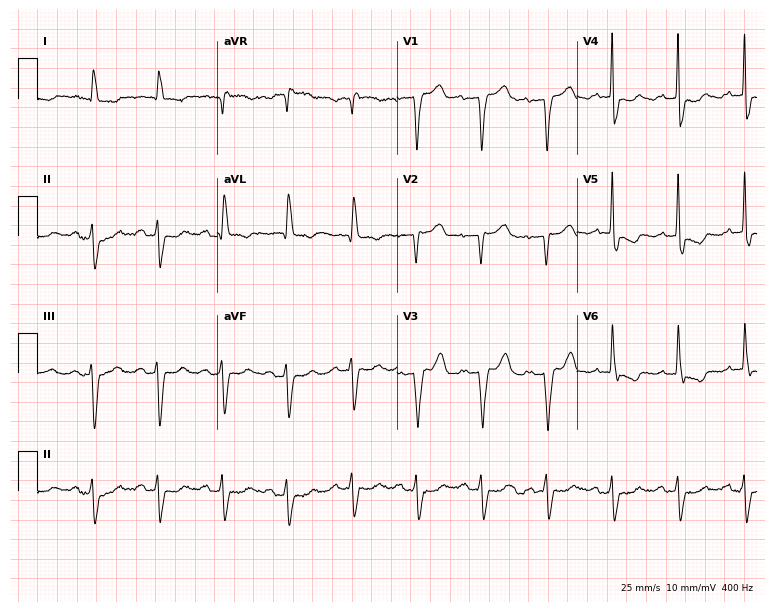
ECG — a 69-year-old man. Screened for six findings — first-degree AV block, right bundle branch block, left bundle branch block, sinus bradycardia, atrial fibrillation, sinus tachycardia — none is recorded.